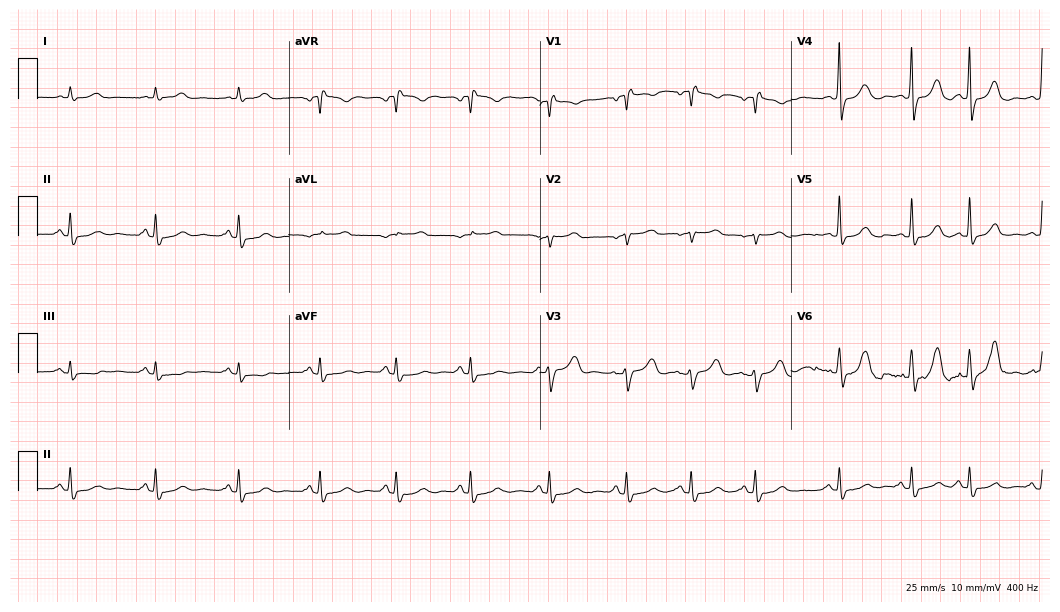
12-lead ECG (10.2-second recording at 400 Hz) from a female patient, 83 years old. Screened for six findings — first-degree AV block, right bundle branch block, left bundle branch block, sinus bradycardia, atrial fibrillation, sinus tachycardia — none is recorded. Findings outside these six are not listed.